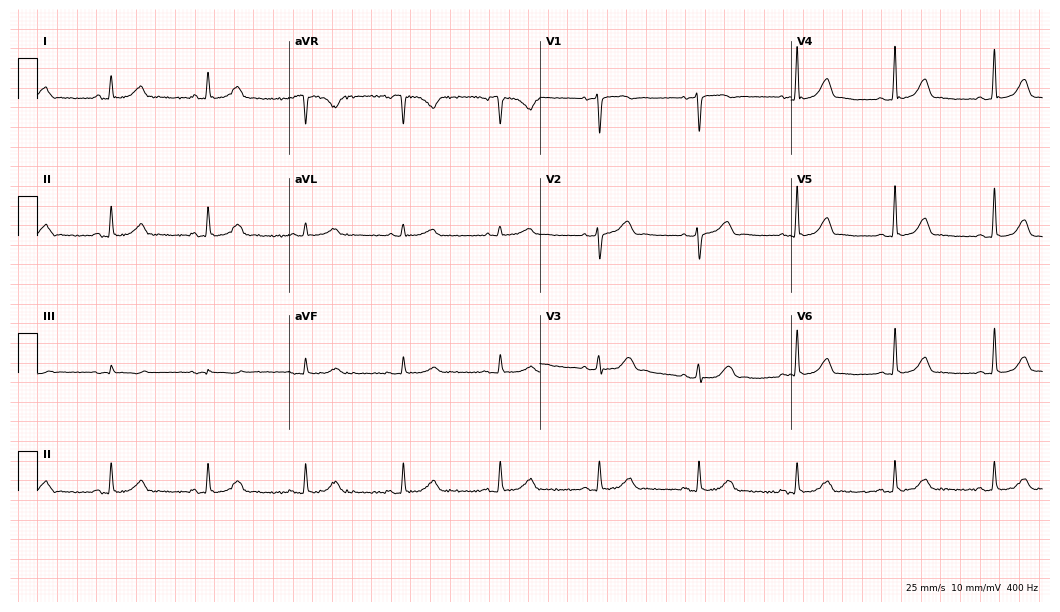
12-lead ECG from a 54-year-old woman. No first-degree AV block, right bundle branch block (RBBB), left bundle branch block (LBBB), sinus bradycardia, atrial fibrillation (AF) or sinus tachycardia recorded for this tracing. Only these six findings were labelled.